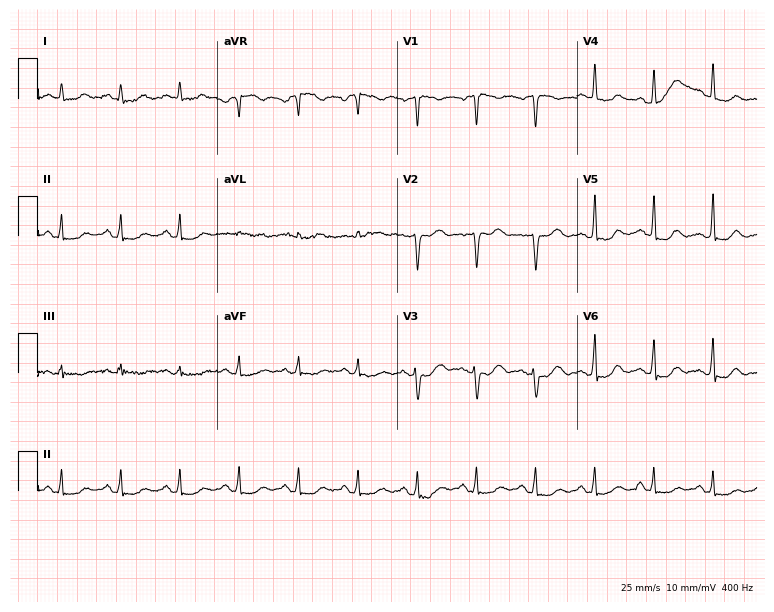
Standard 12-lead ECG recorded from a 47-year-old woman. None of these six findings is recorded: first-degree AV block, right bundle branch block (RBBB), left bundle branch block (LBBB), sinus bradycardia, atrial fibrillation (AF), sinus tachycardia. Only these six findings were labelled.